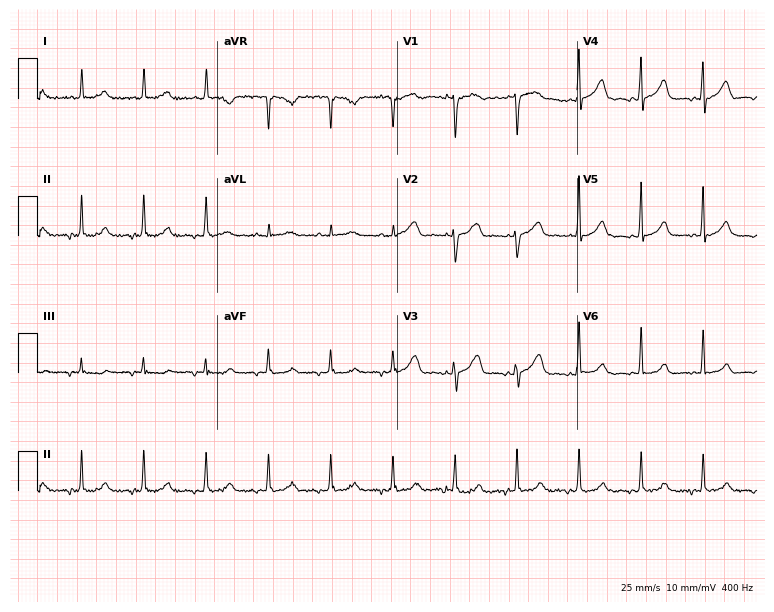
Electrocardiogram, a female, 56 years old. Of the six screened findings (first-degree AV block, right bundle branch block, left bundle branch block, sinus bradycardia, atrial fibrillation, sinus tachycardia), none is recorded.